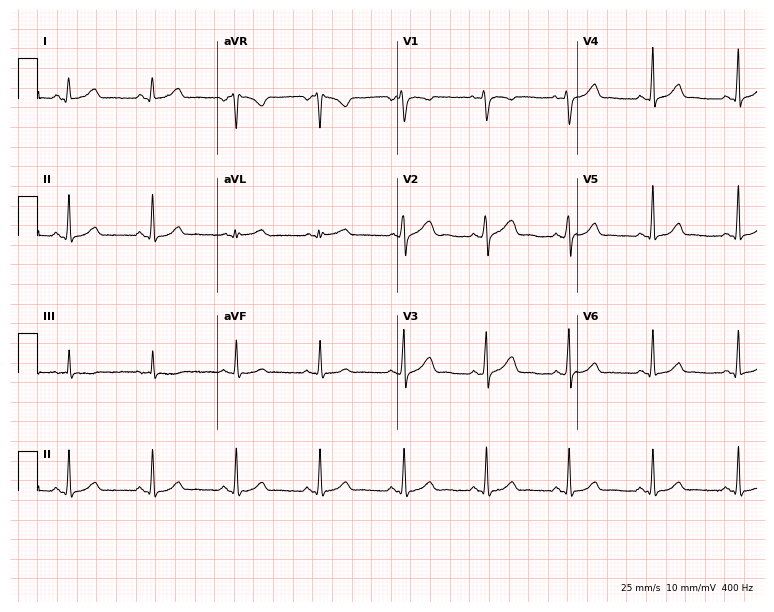
Electrocardiogram, a female patient, 39 years old. Overall reading on record: normal ECG.